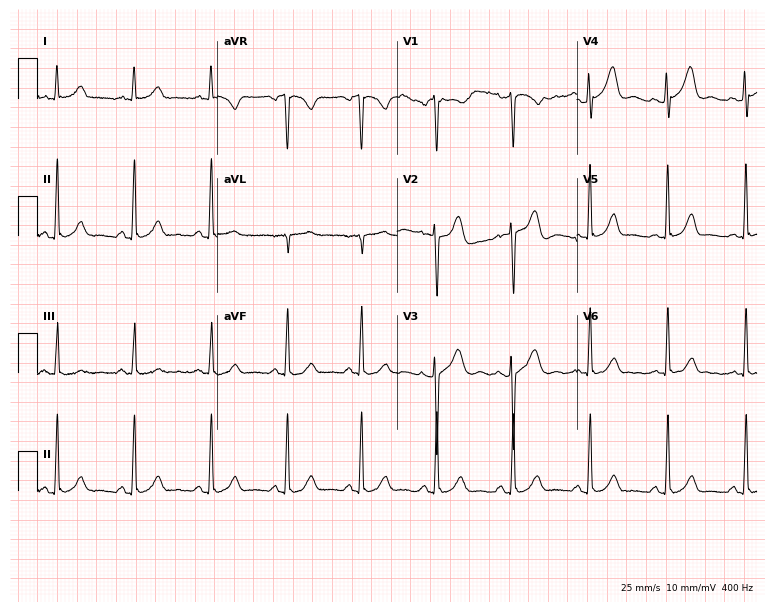
12-lead ECG (7.3-second recording at 400 Hz) from a 37-year-old woman. Labelled as a normal ECG.